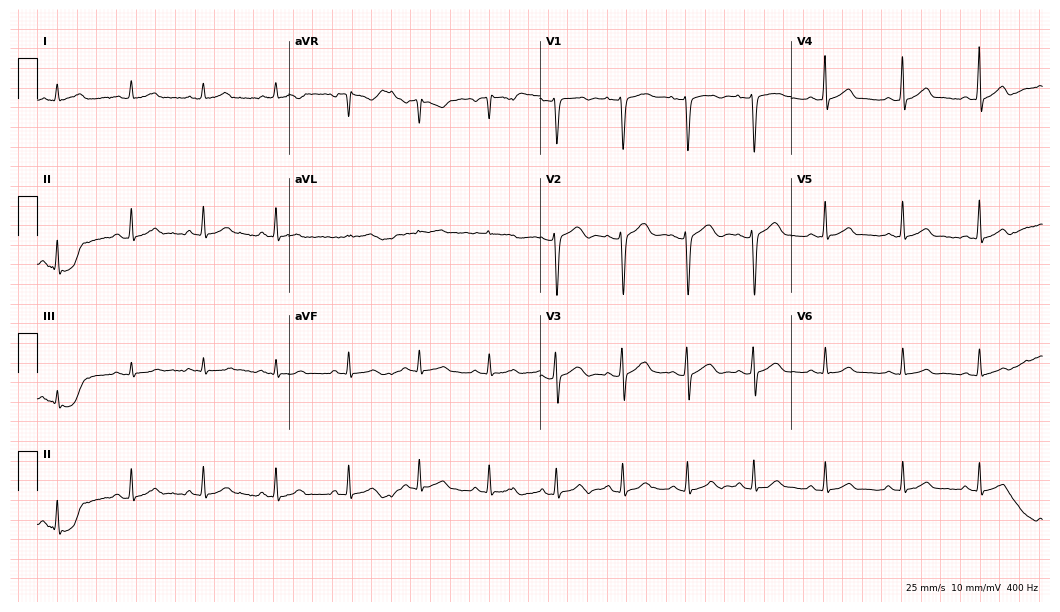
Electrocardiogram, a female patient, 29 years old. Overall reading on record: normal ECG.